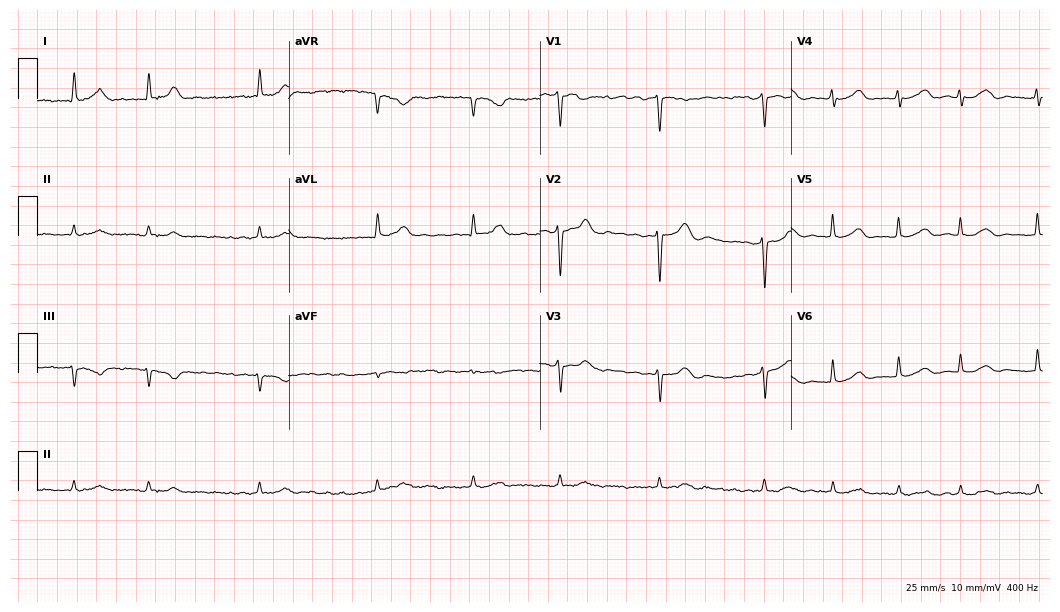
Standard 12-lead ECG recorded from a woman, 83 years old (10.2-second recording at 400 Hz). The tracing shows atrial fibrillation.